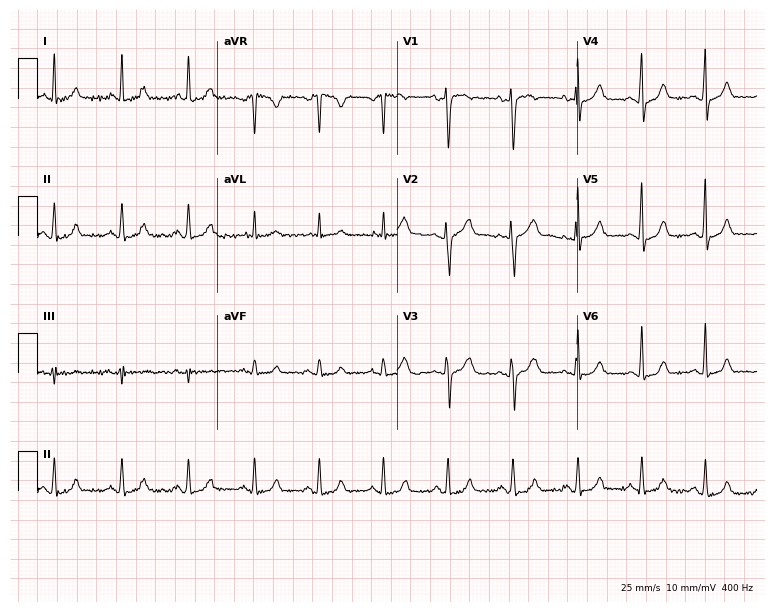
Electrocardiogram (7.3-second recording at 400 Hz), a 37-year-old female patient. Of the six screened findings (first-degree AV block, right bundle branch block, left bundle branch block, sinus bradycardia, atrial fibrillation, sinus tachycardia), none is recorded. Only these six findings were labelled.